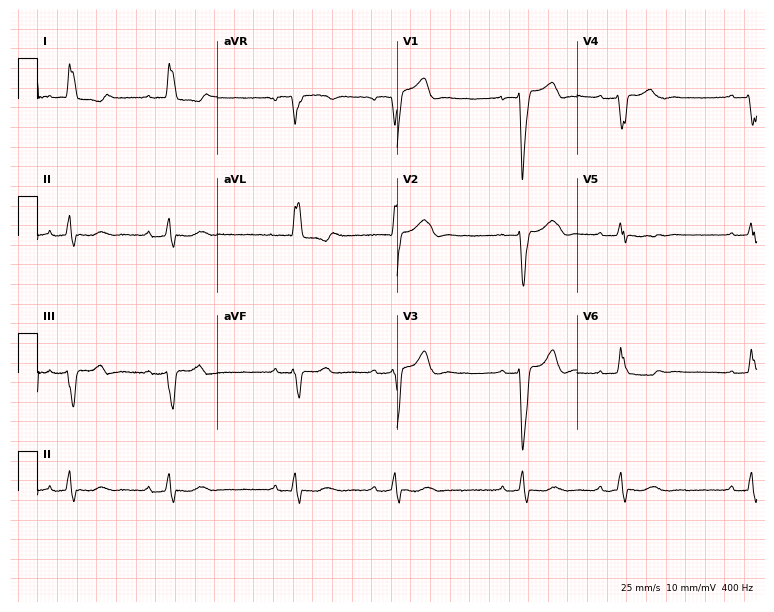
Resting 12-lead electrocardiogram. Patient: a 62-year-old female. The tracing shows left bundle branch block.